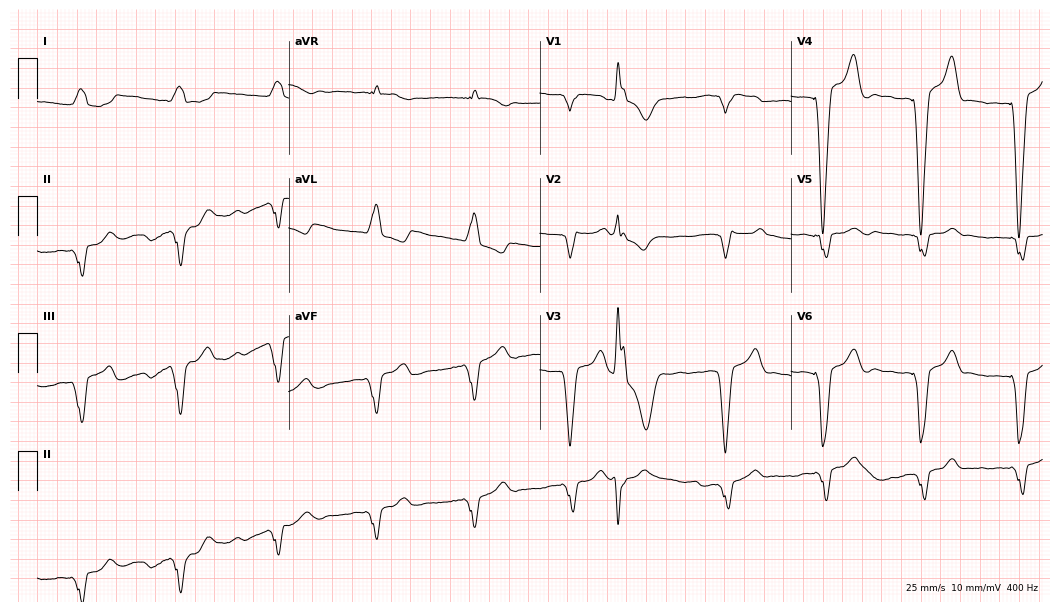
Standard 12-lead ECG recorded from a 72-year-old female patient (10.2-second recording at 400 Hz). None of these six findings is recorded: first-degree AV block, right bundle branch block, left bundle branch block, sinus bradycardia, atrial fibrillation, sinus tachycardia.